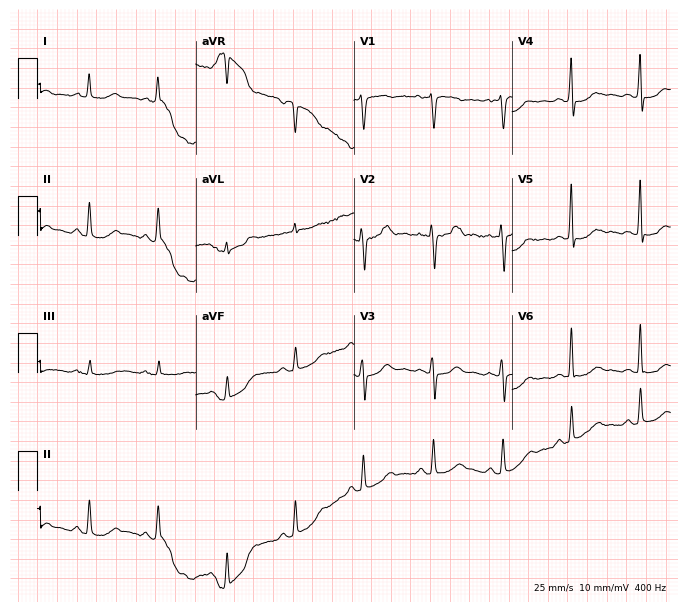
Electrocardiogram, a woman, 51 years old. Overall reading on record: normal ECG.